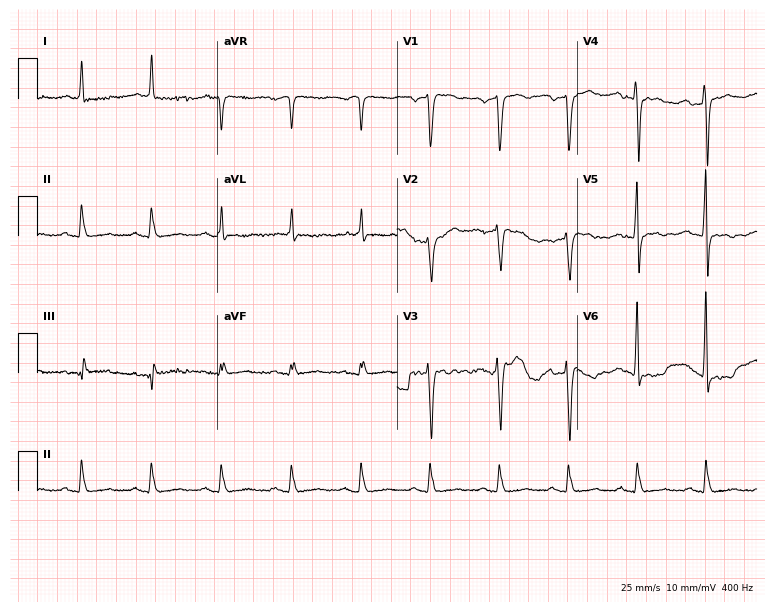
Standard 12-lead ECG recorded from a 61-year-old female. None of these six findings is recorded: first-degree AV block, right bundle branch block, left bundle branch block, sinus bradycardia, atrial fibrillation, sinus tachycardia.